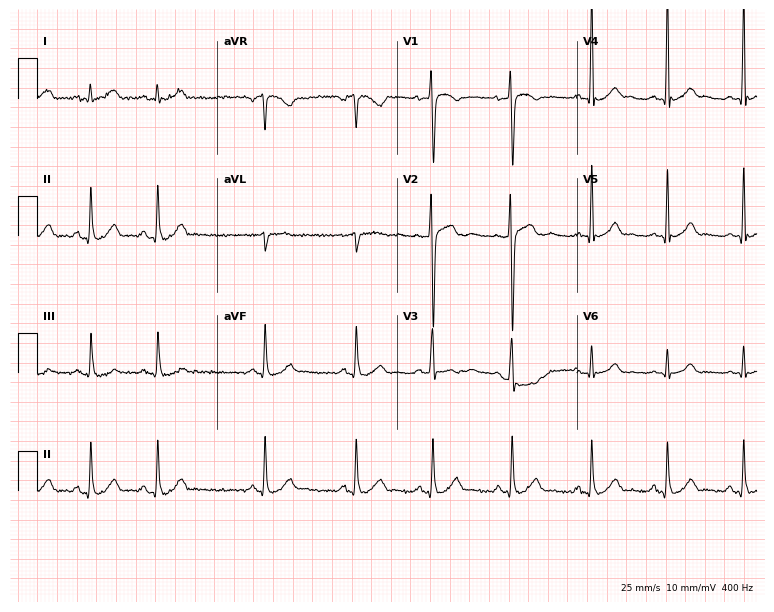
Standard 12-lead ECG recorded from an 18-year-old male patient (7.3-second recording at 400 Hz). Read as a normal ECG.